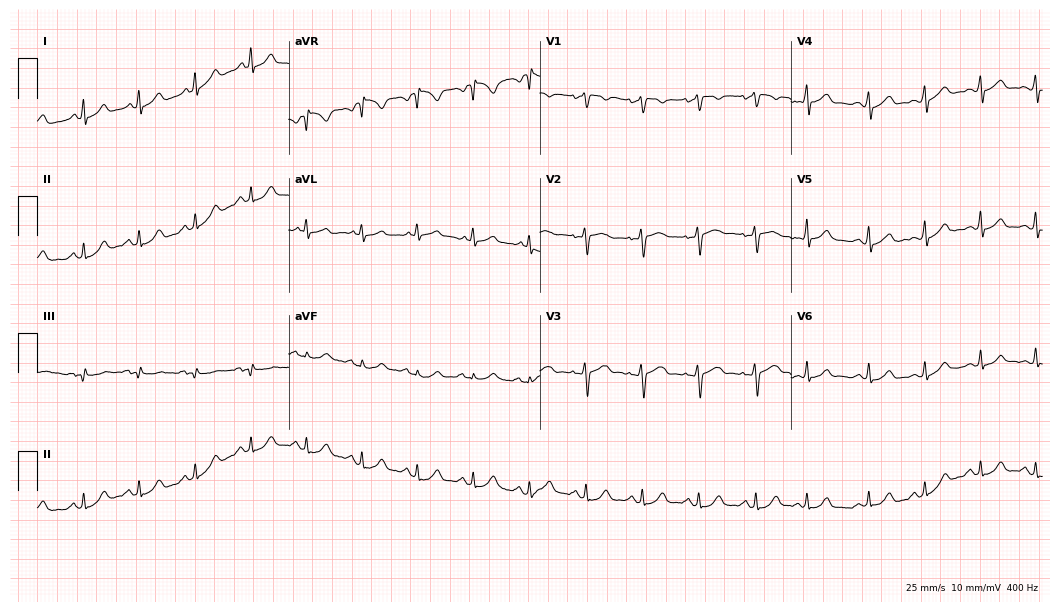
12-lead ECG (10.2-second recording at 400 Hz) from a 26-year-old female. Findings include sinus tachycardia (a sinus rate of 100 beats per minute or more).